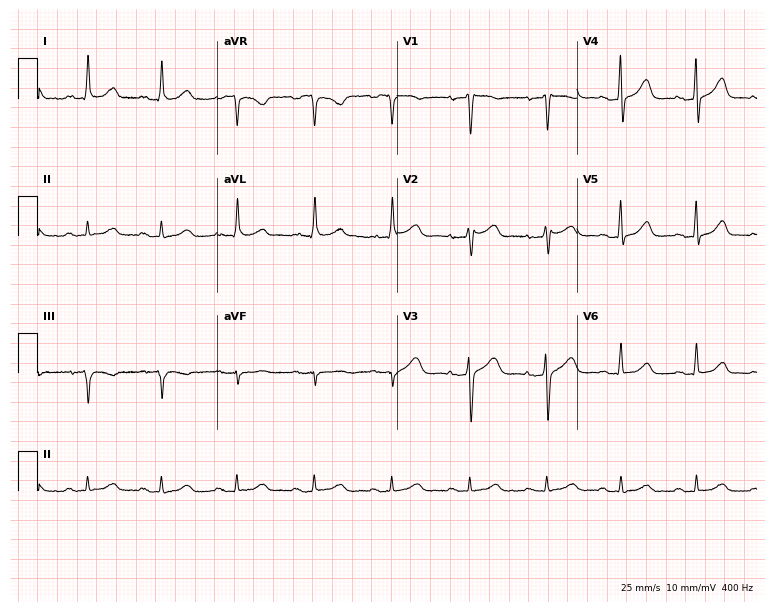
ECG (7.3-second recording at 400 Hz) — a female patient, 50 years old. Labelled as a normal ECG.